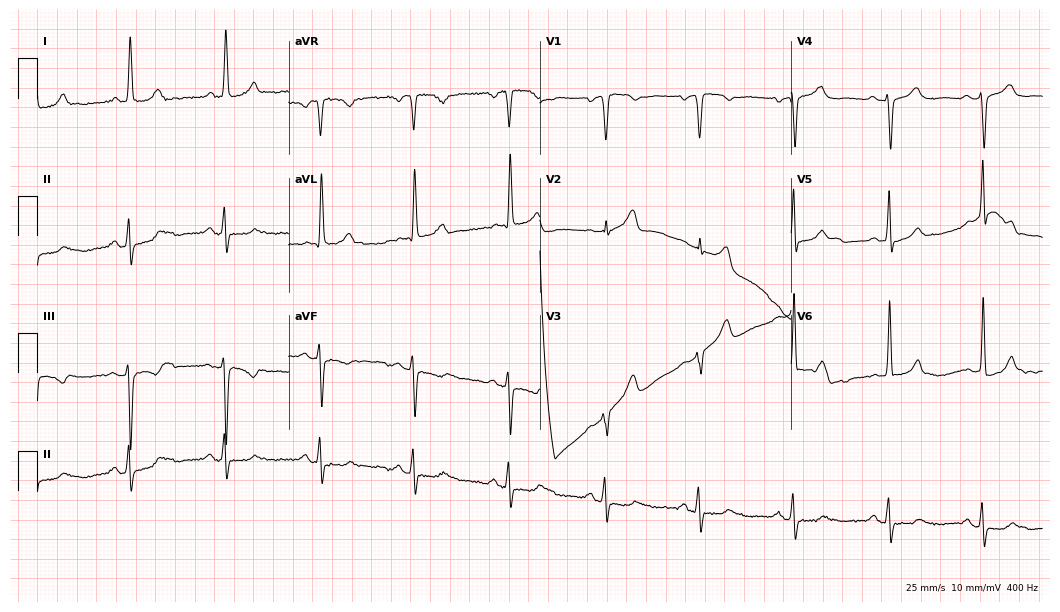
Standard 12-lead ECG recorded from a 72-year-old female (10.2-second recording at 400 Hz). Read as a normal ECG.